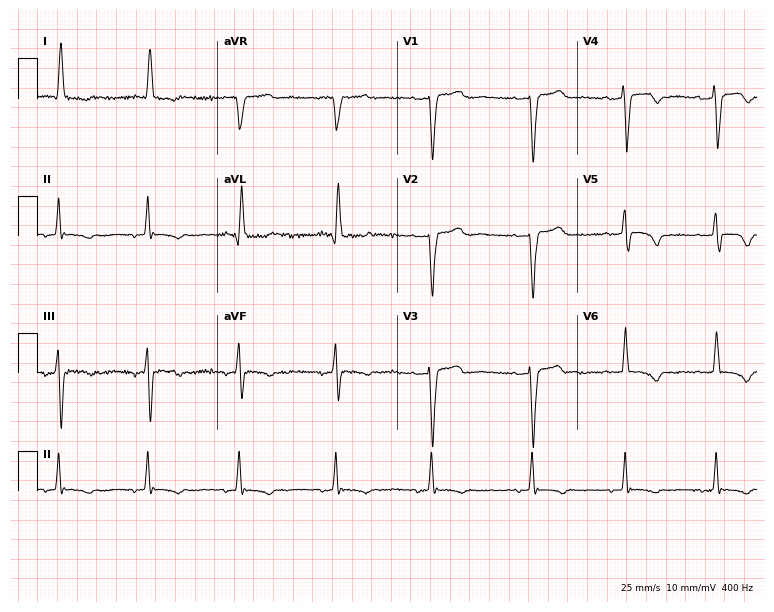
Standard 12-lead ECG recorded from a female patient, 68 years old. The tracing shows left bundle branch block.